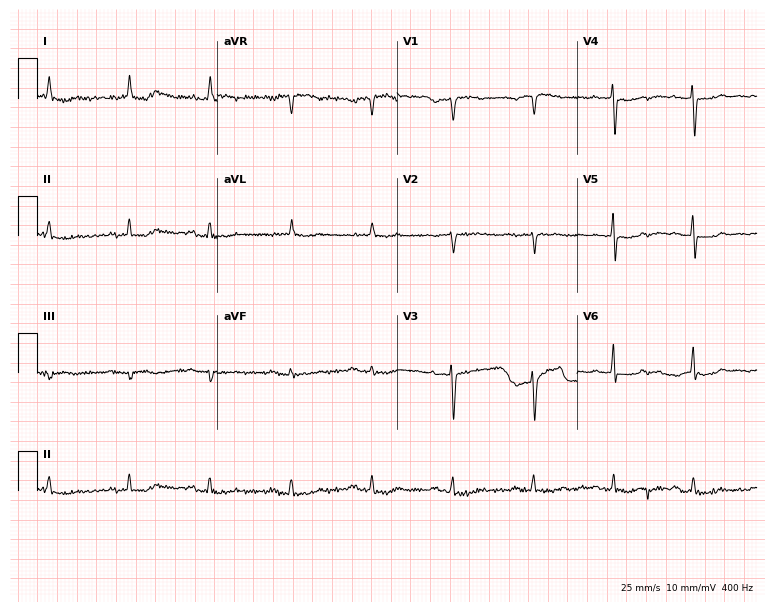
Electrocardiogram, a female patient, 72 years old. Of the six screened findings (first-degree AV block, right bundle branch block, left bundle branch block, sinus bradycardia, atrial fibrillation, sinus tachycardia), none is recorded.